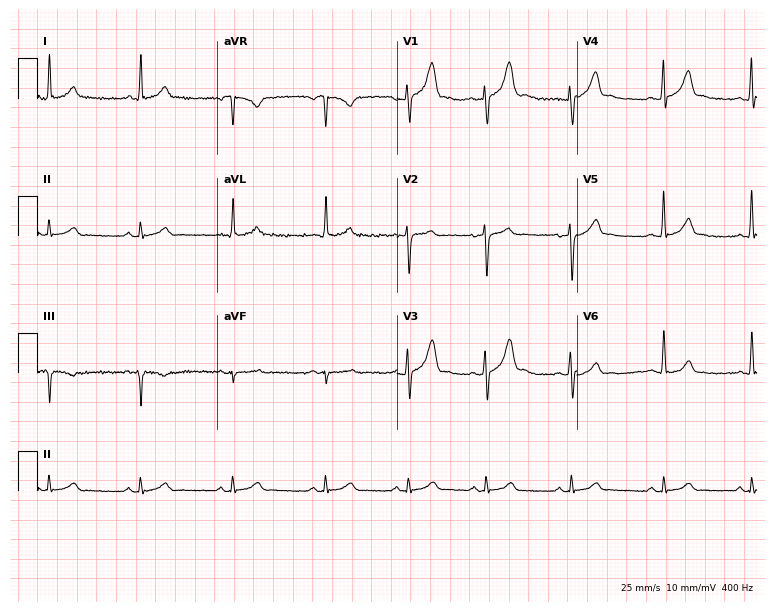
ECG (7.3-second recording at 400 Hz) — a 25-year-old man. Labelled as a normal ECG.